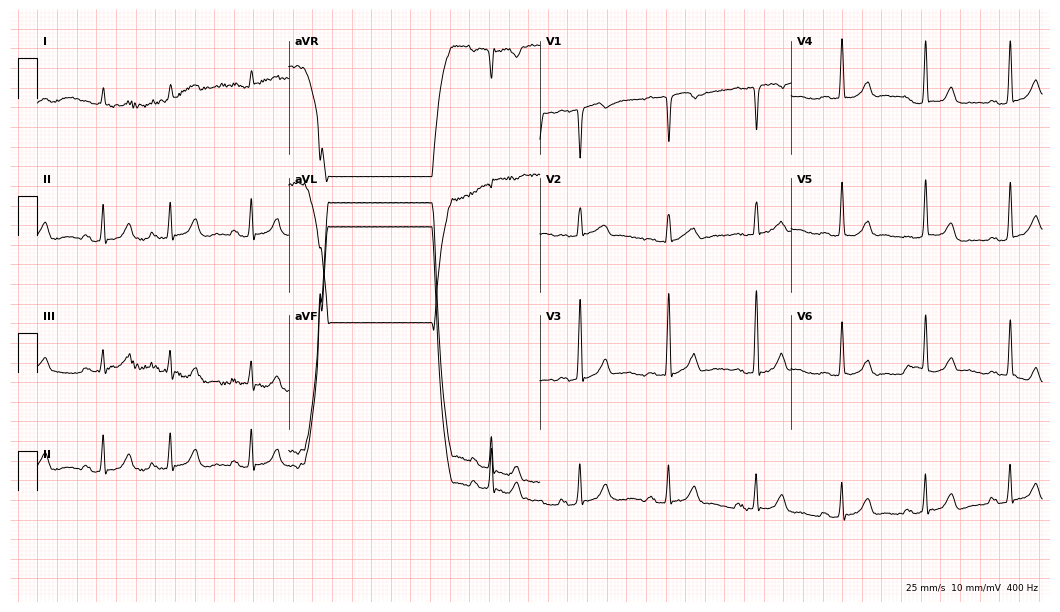
Electrocardiogram, an 80-year-old male patient. Overall reading on record: normal ECG.